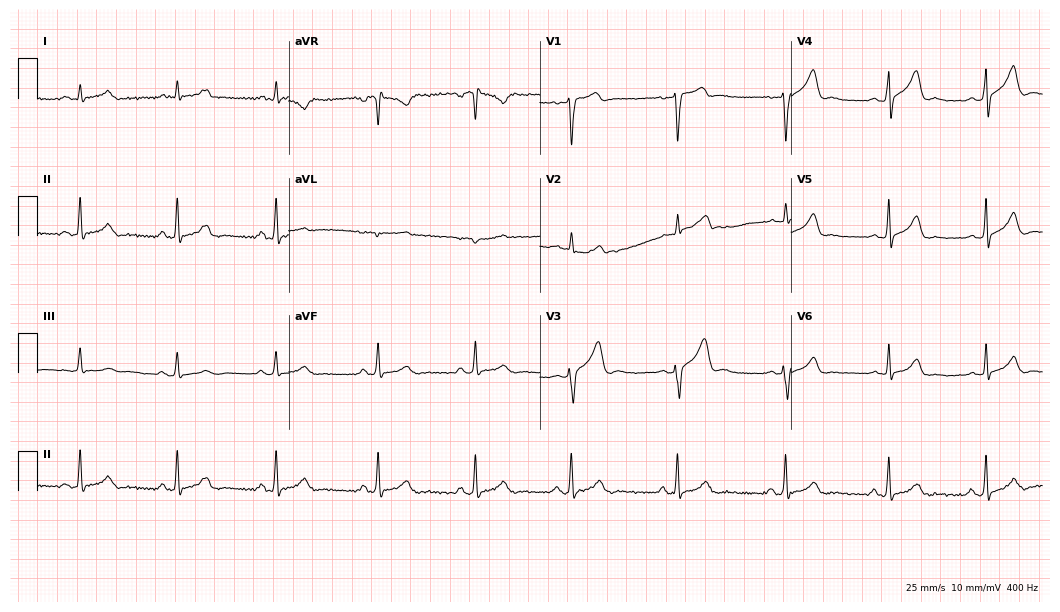
ECG (10.2-second recording at 400 Hz) — a male patient, 32 years old. Labelled as a normal ECG.